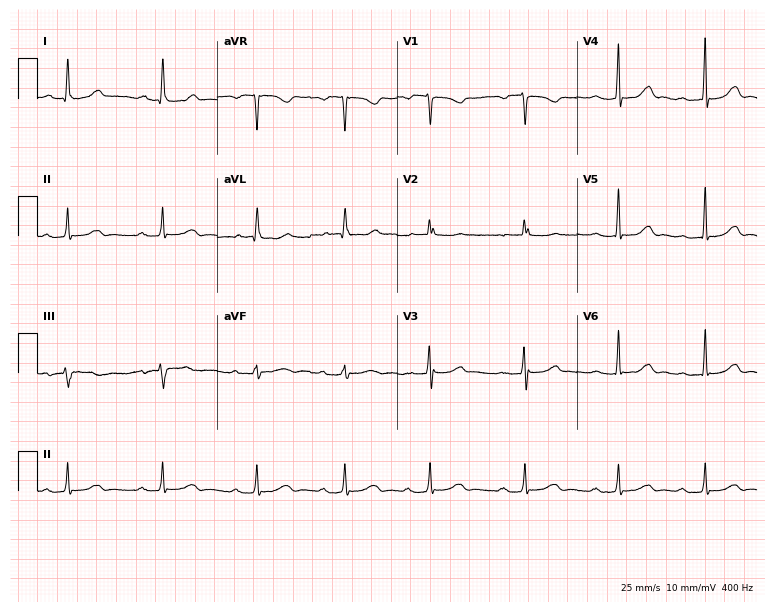
12-lead ECG from a female patient, 34 years old (7.3-second recording at 400 Hz). Recorded interpretation: within normal limits.